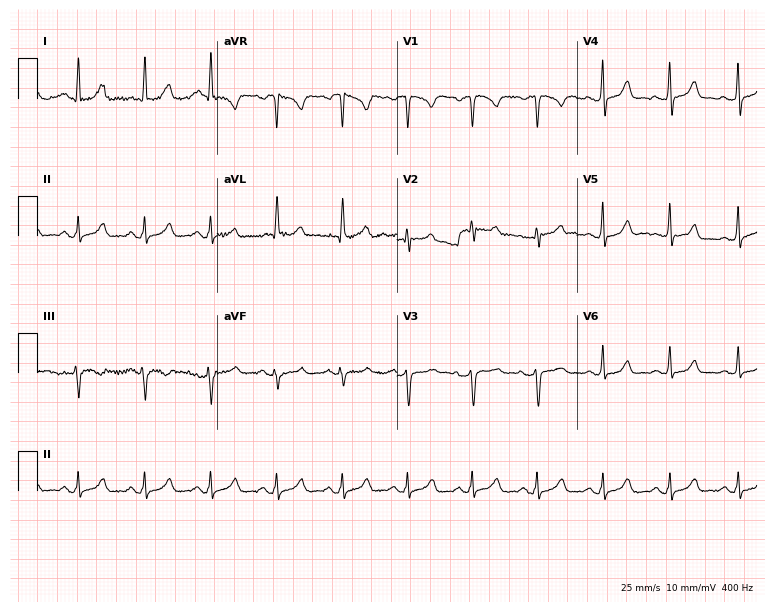
Electrocardiogram, a 52-year-old female. Overall reading on record: normal ECG.